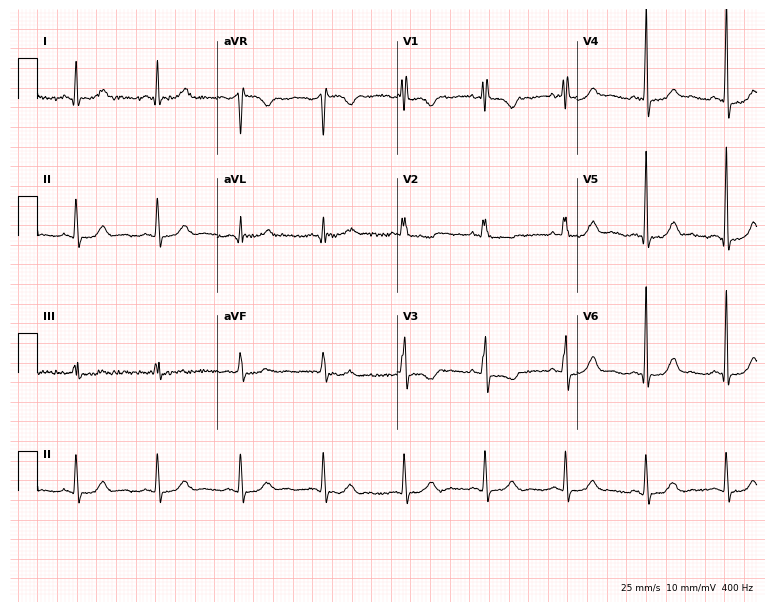
12-lead ECG (7.3-second recording at 400 Hz) from a female patient, 59 years old. Labelled as a normal ECG.